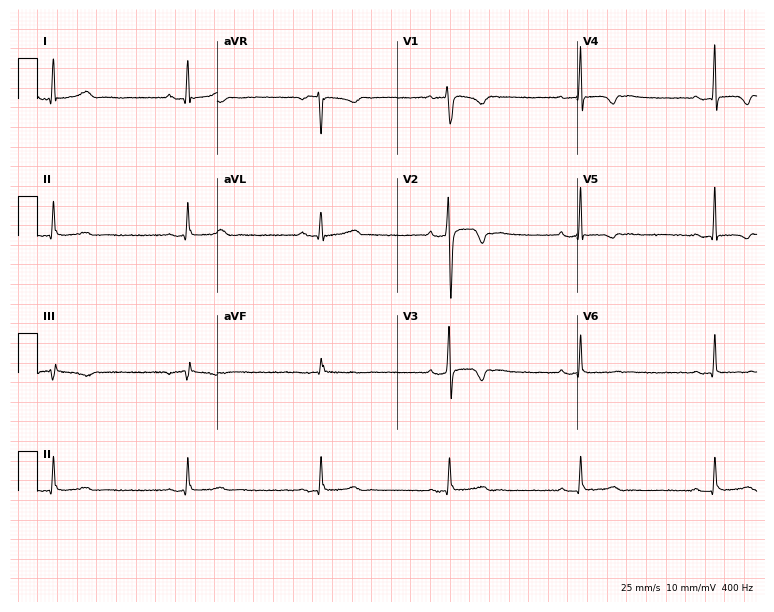
Resting 12-lead electrocardiogram. Patient: a 25-year-old man. None of these six findings is recorded: first-degree AV block, right bundle branch block, left bundle branch block, sinus bradycardia, atrial fibrillation, sinus tachycardia.